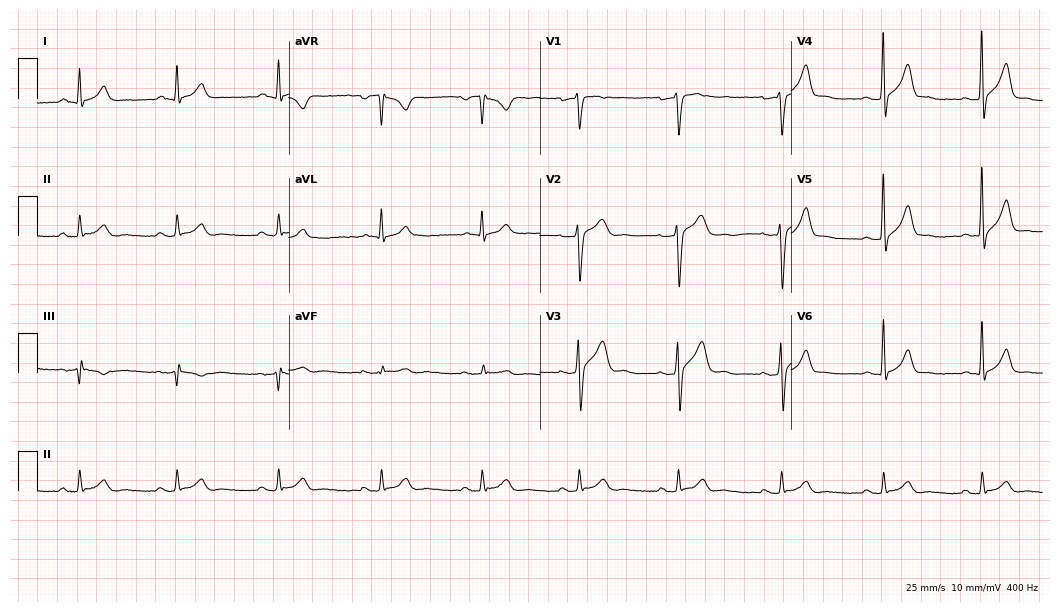
Electrocardiogram, a man, 29 years old. Of the six screened findings (first-degree AV block, right bundle branch block (RBBB), left bundle branch block (LBBB), sinus bradycardia, atrial fibrillation (AF), sinus tachycardia), none is recorded.